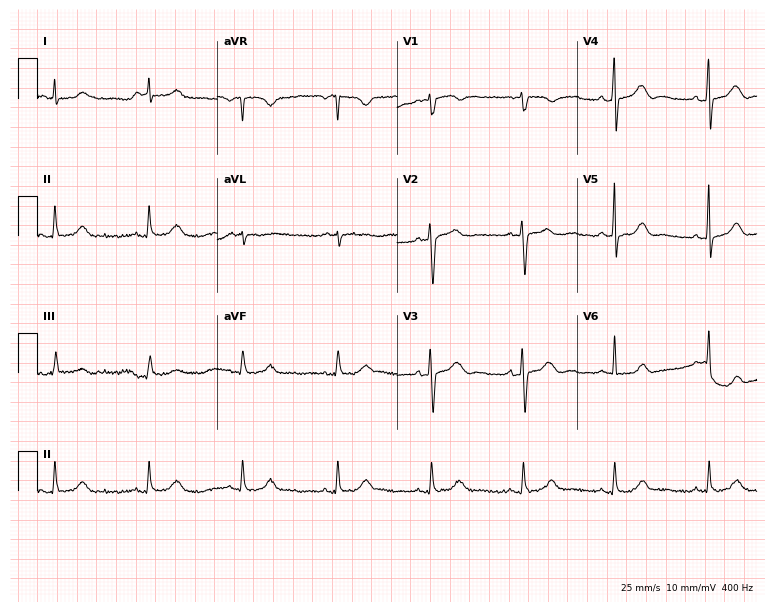
Resting 12-lead electrocardiogram. Patient: a 51-year-old female. Read as a normal ECG.